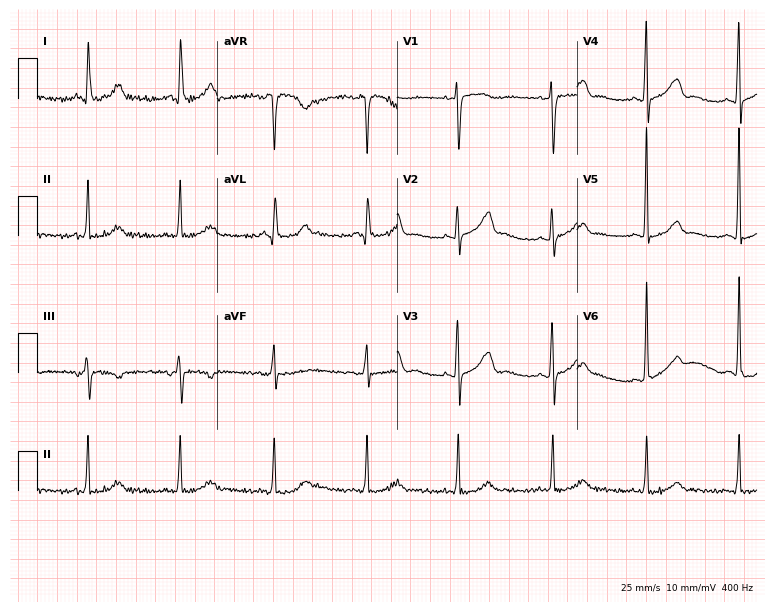
ECG — a 65-year-old female. Screened for six findings — first-degree AV block, right bundle branch block, left bundle branch block, sinus bradycardia, atrial fibrillation, sinus tachycardia — none is recorded.